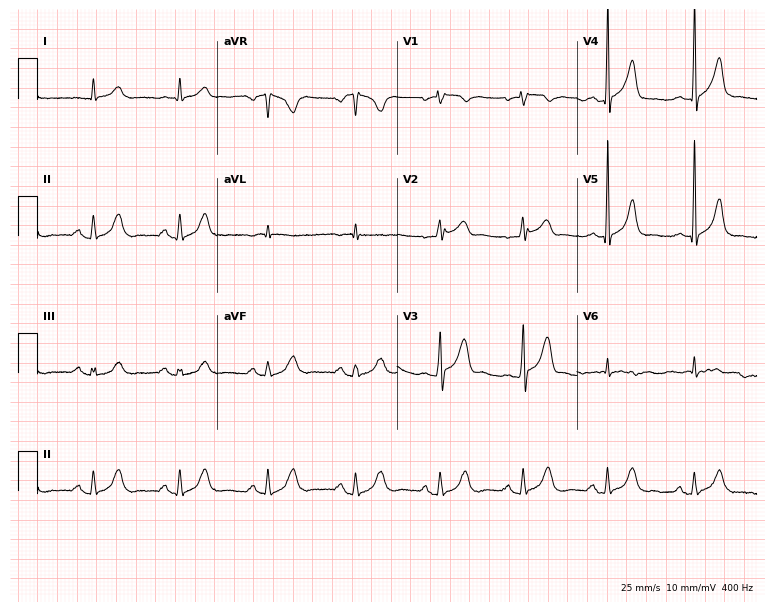
12-lead ECG (7.3-second recording at 400 Hz) from a 75-year-old male. Screened for six findings — first-degree AV block, right bundle branch block (RBBB), left bundle branch block (LBBB), sinus bradycardia, atrial fibrillation (AF), sinus tachycardia — none is recorded.